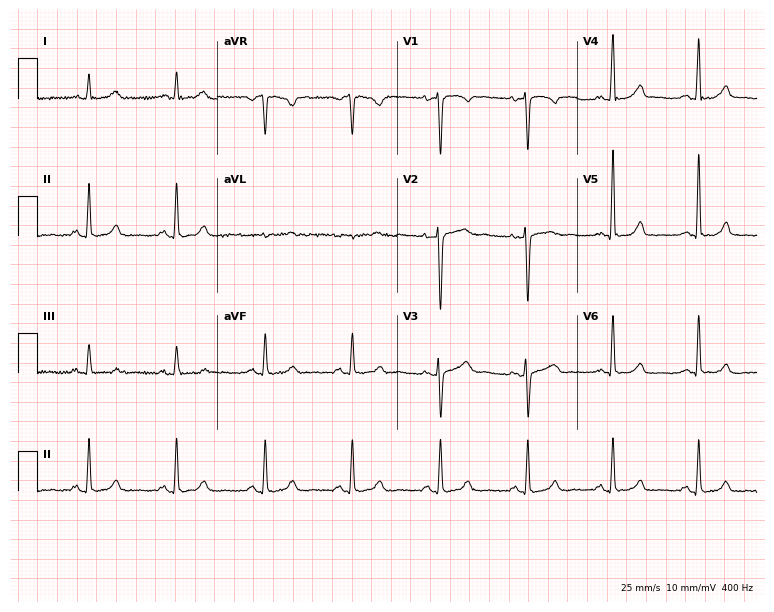
Resting 12-lead electrocardiogram. Patient: a 37-year-old female. None of these six findings is recorded: first-degree AV block, right bundle branch block, left bundle branch block, sinus bradycardia, atrial fibrillation, sinus tachycardia.